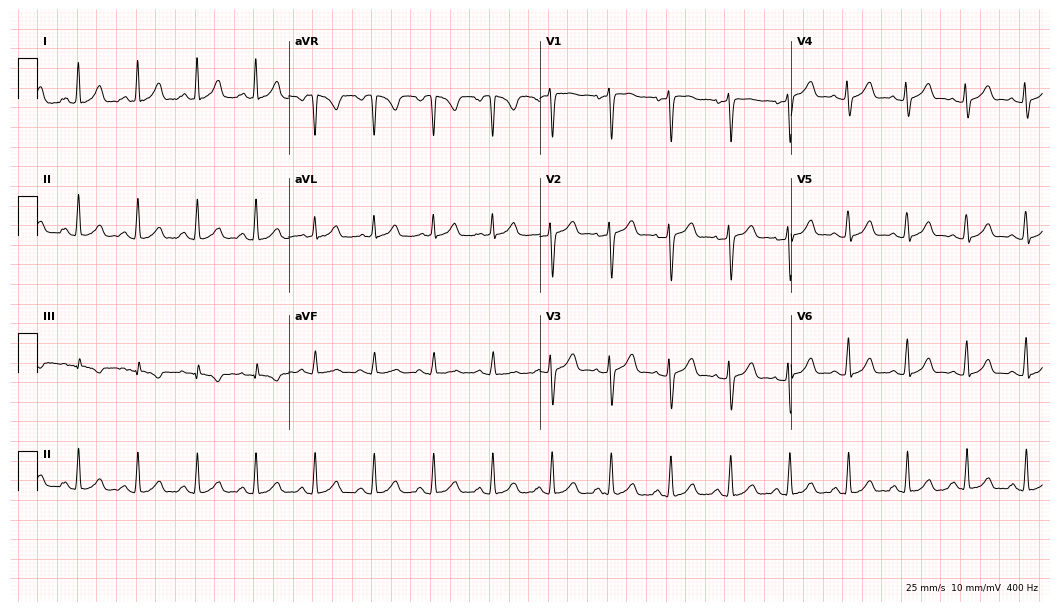
Standard 12-lead ECG recorded from a female patient, 49 years old. None of these six findings is recorded: first-degree AV block, right bundle branch block (RBBB), left bundle branch block (LBBB), sinus bradycardia, atrial fibrillation (AF), sinus tachycardia.